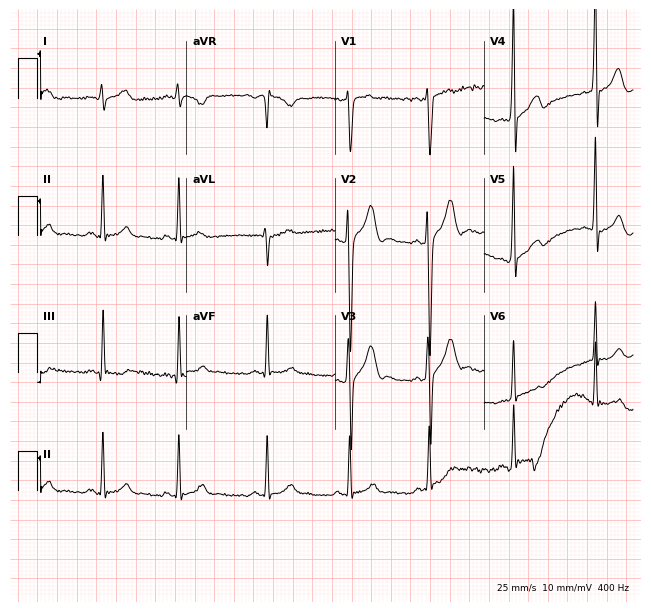
ECG (6.1-second recording at 400 Hz) — a man, 17 years old. Labelled as a normal ECG.